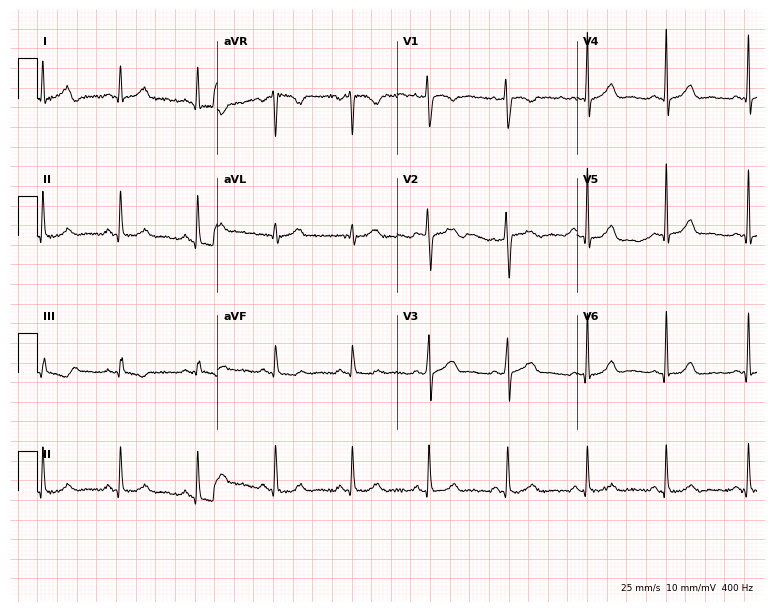
12-lead ECG from a female, 42 years old (7.3-second recording at 400 Hz). Recorded interpretation: within normal limits.